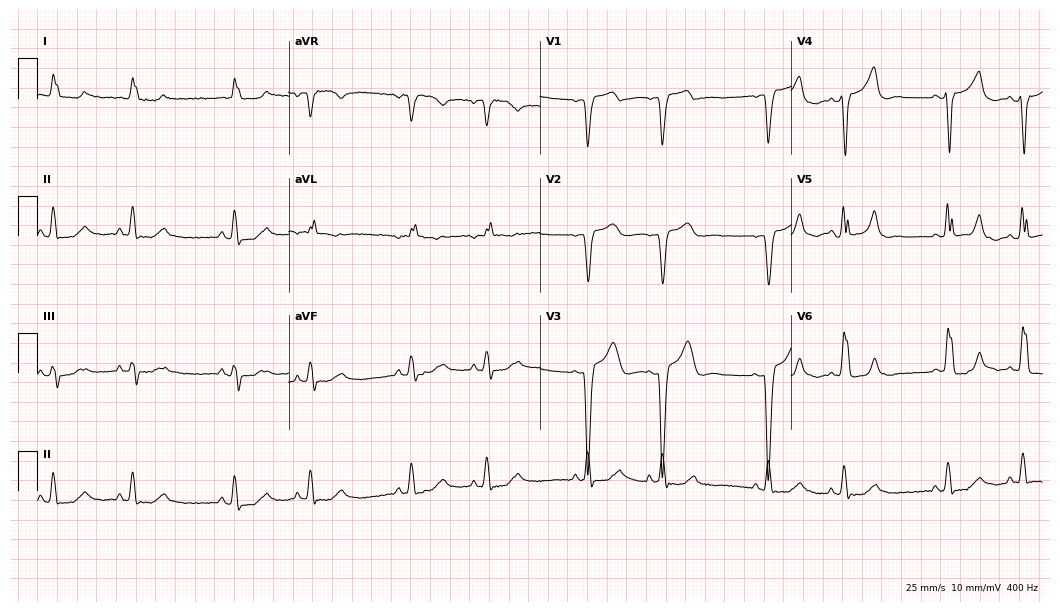
12-lead ECG (10.2-second recording at 400 Hz) from an 80-year-old female patient. Findings include left bundle branch block.